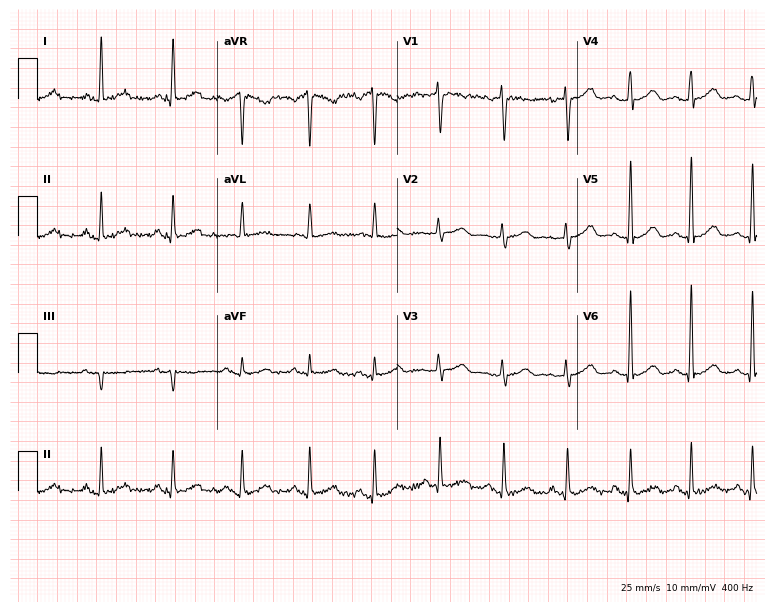
Electrocardiogram, a 57-year-old woman. Overall reading on record: normal ECG.